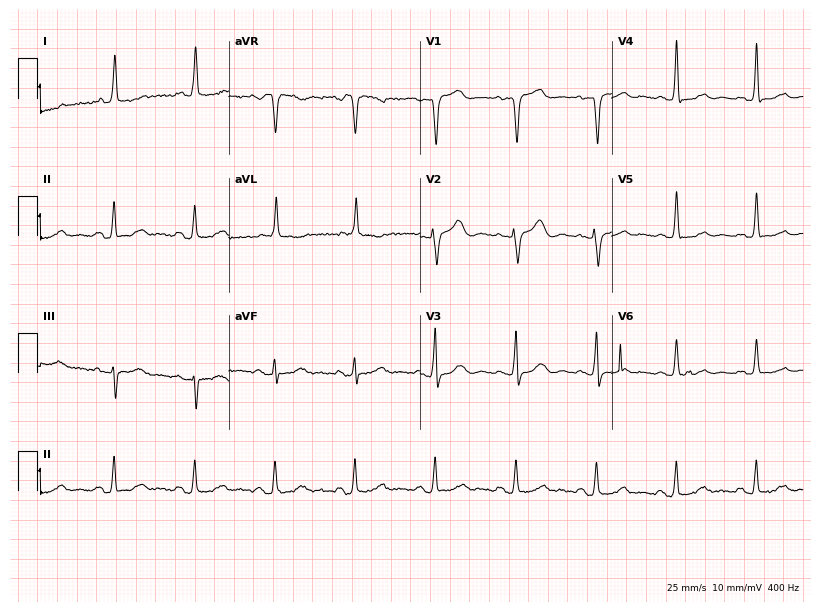
ECG (7.8-second recording at 400 Hz) — a female patient, 76 years old. Labelled as a normal ECG.